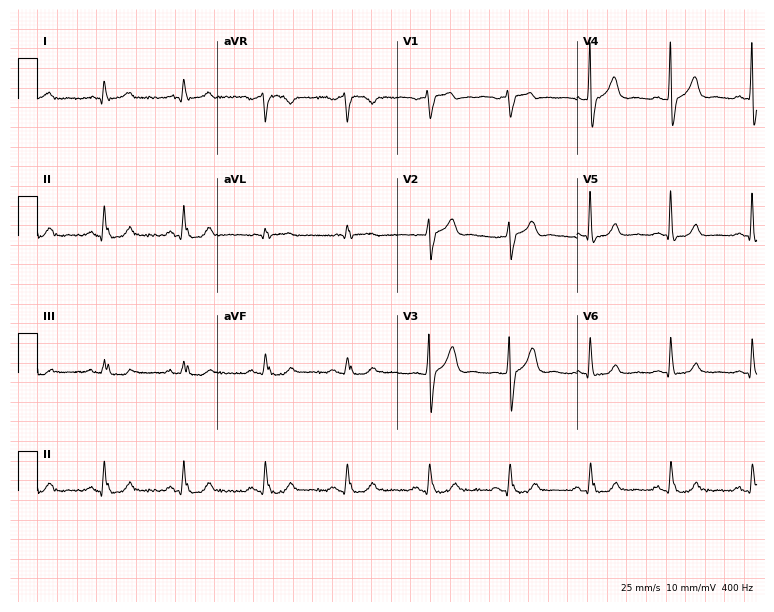
Electrocardiogram, a 51-year-old male. Overall reading on record: normal ECG.